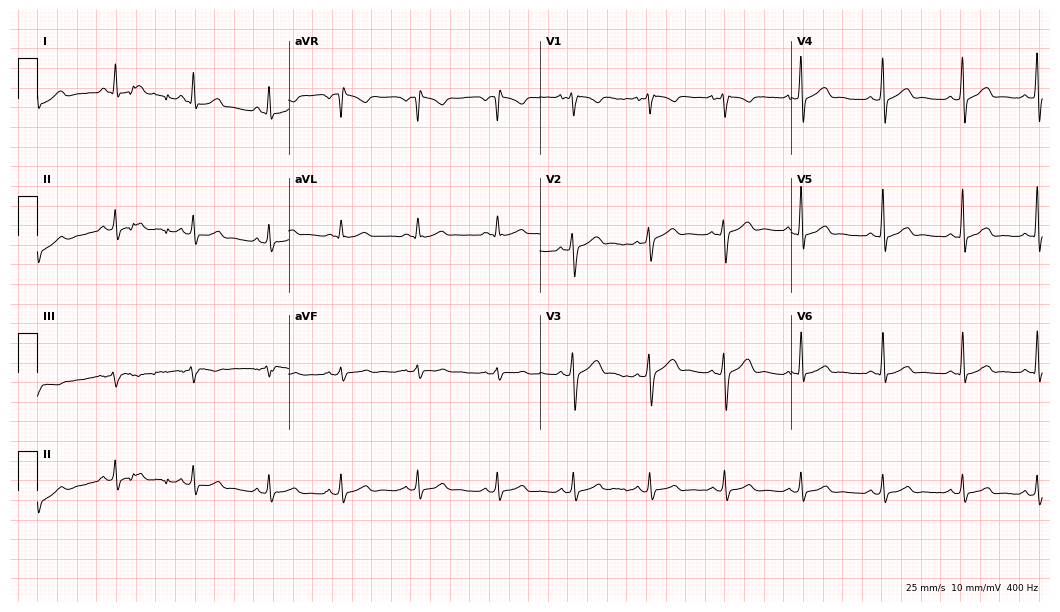
Resting 12-lead electrocardiogram (10.2-second recording at 400 Hz). Patient: a 22-year-old male. Read as a normal ECG.